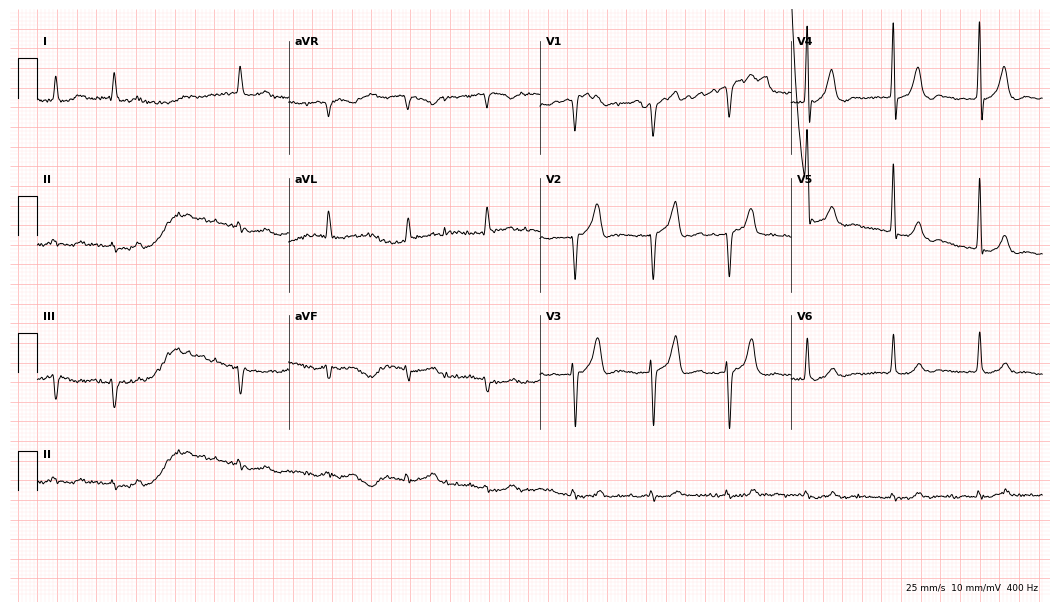
Standard 12-lead ECG recorded from a 75-year-old male patient (10.2-second recording at 400 Hz). The tracing shows atrial fibrillation.